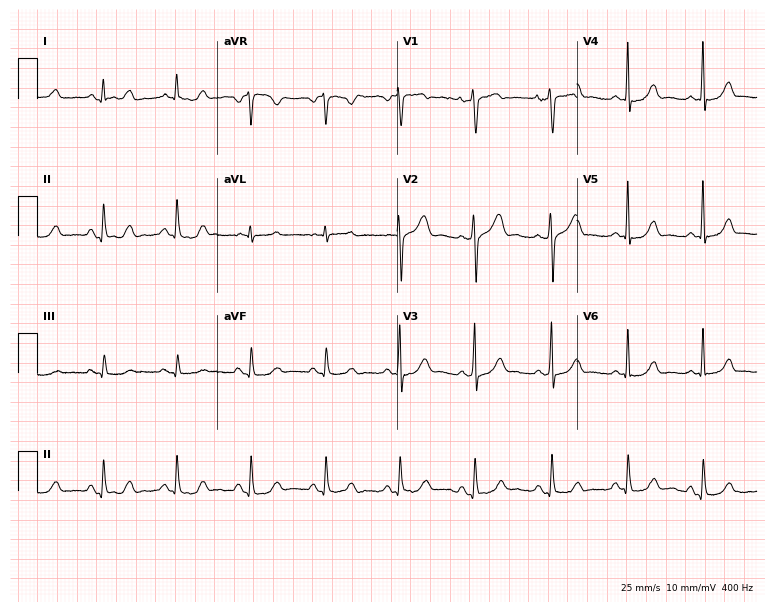
12-lead ECG from a 30-year-old woman. Recorded interpretation: within normal limits.